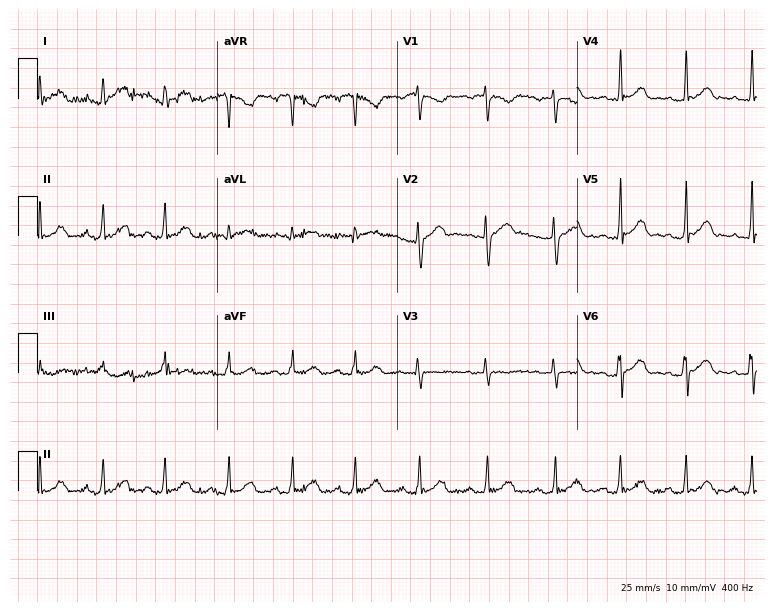
Resting 12-lead electrocardiogram. Patient: a 22-year-old female. Read as a normal ECG.